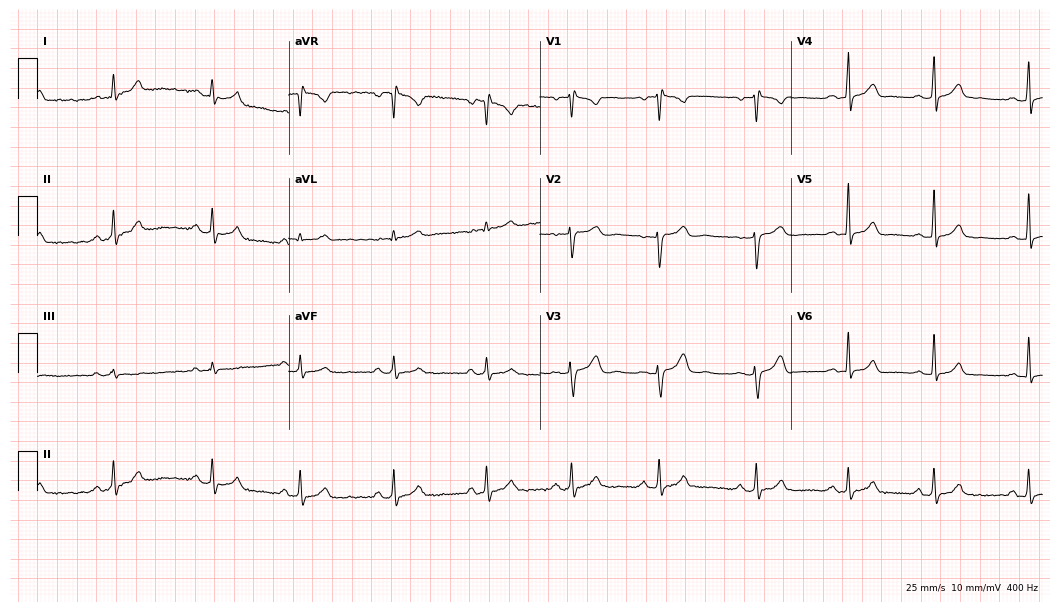
Electrocardiogram, a female patient, 27 years old. Of the six screened findings (first-degree AV block, right bundle branch block, left bundle branch block, sinus bradycardia, atrial fibrillation, sinus tachycardia), none is recorded.